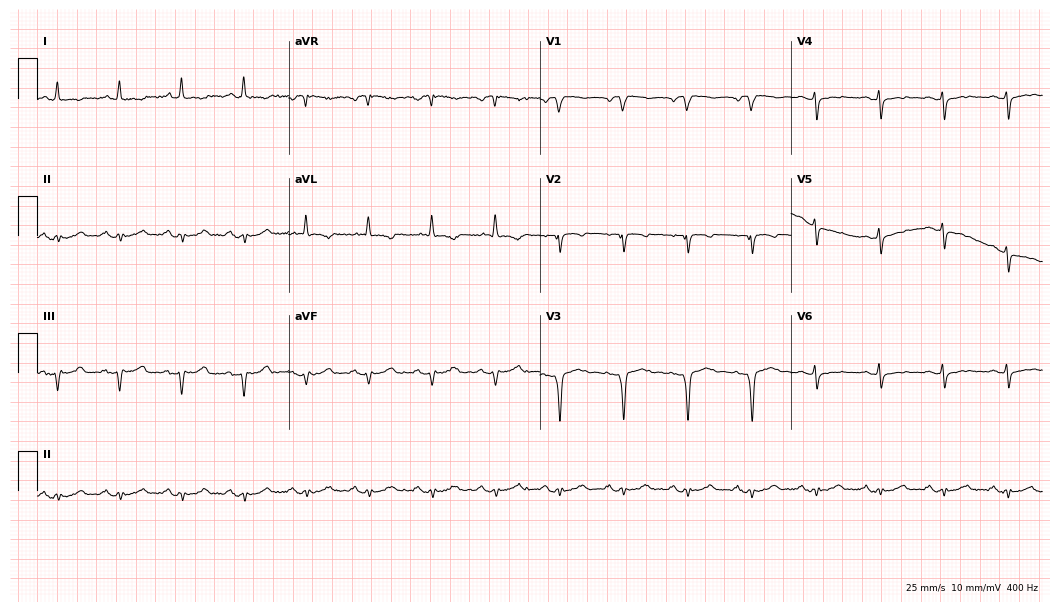
Electrocardiogram (10.2-second recording at 400 Hz), a 70-year-old female. Of the six screened findings (first-degree AV block, right bundle branch block, left bundle branch block, sinus bradycardia, atrial fibrillation, sinus tachycardia), none is recorded. Other findings, if any, are not listed.